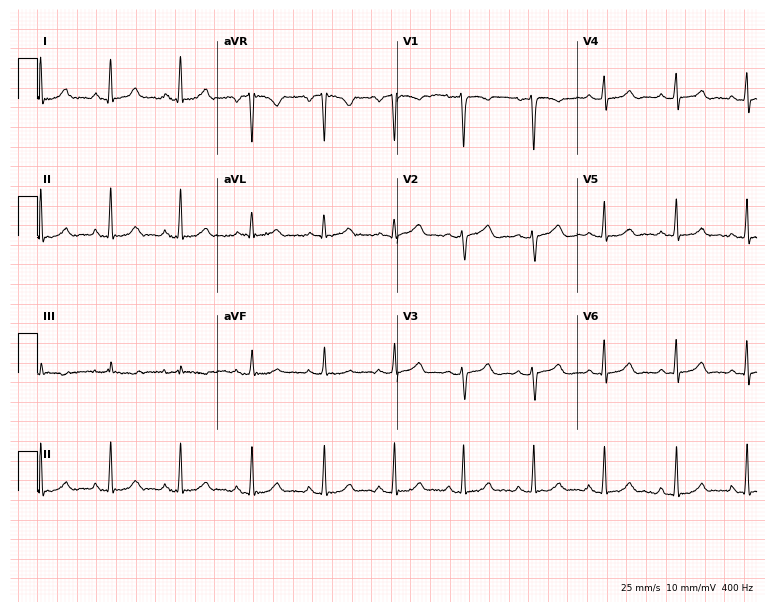
12-lead ECG from a 30-year-old female (7.3-second recording at 400 Hz). Recorded interpretation: within normal limits.